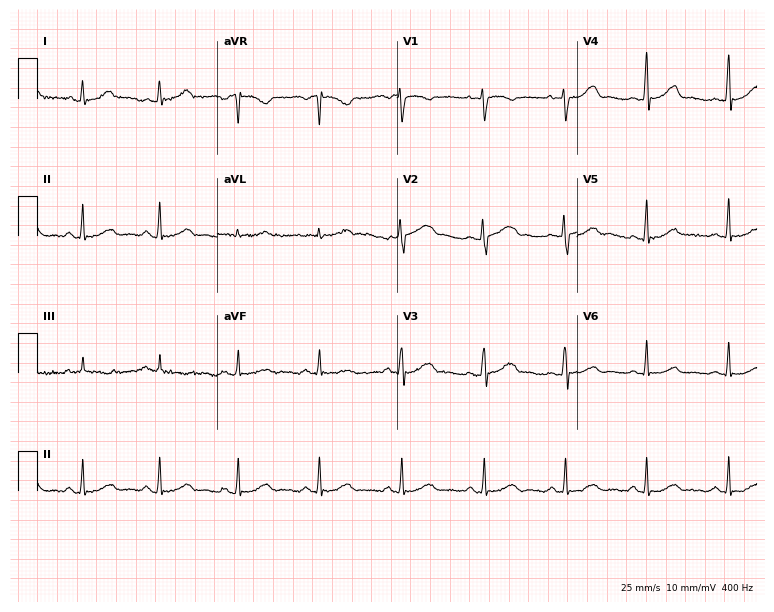
12-lead ECG from a 40-year-old female. Labelled as a normal ECG.